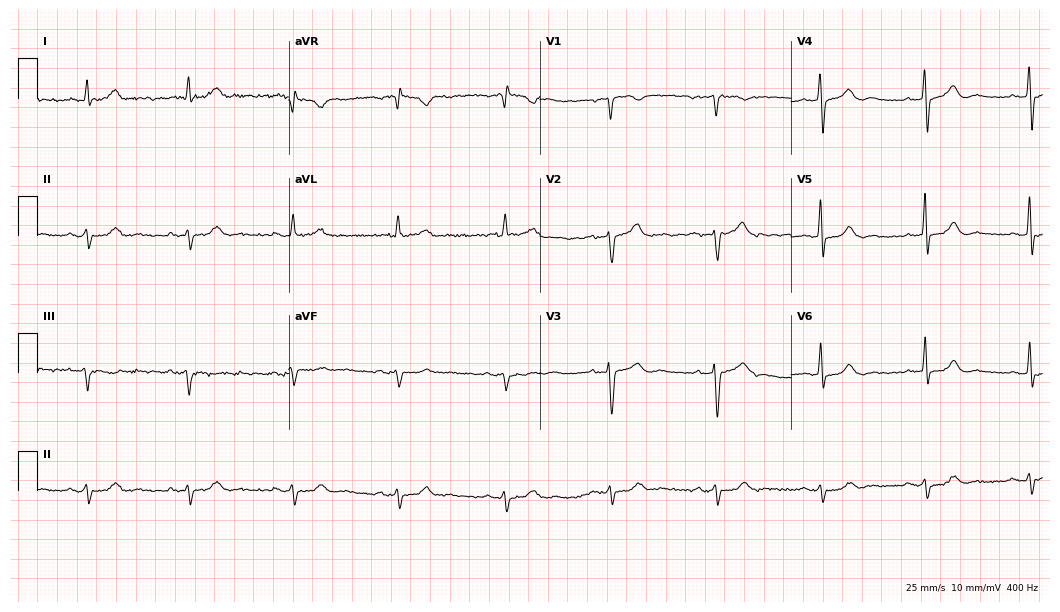
12-lead ECG from a 78-year-old man. No first-degree AV block, right bundle branch block (RBBB), left bundle branch block (LBBB), sinus bradycardia, atrial fibrillation (AF) or sinus tachycardia recorded for this tracing.